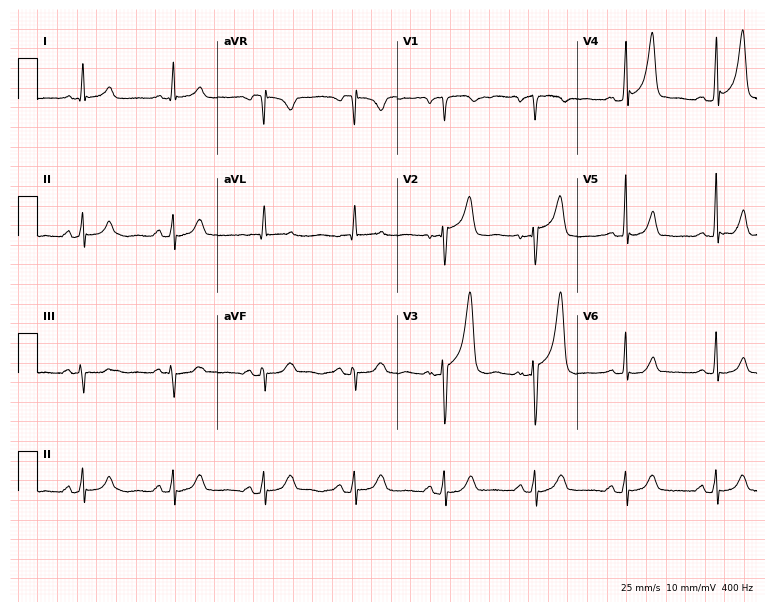
Resting 12-lead electrocardiogram (7.3-second recording at 400 Hz). Patient: a 47-year-old man. None of these six findings is recorded: first-degree AV block, right bundle branch block, left bundle branch block, sinus bradycardia, atrial fibrillation, sinus tachycardia.